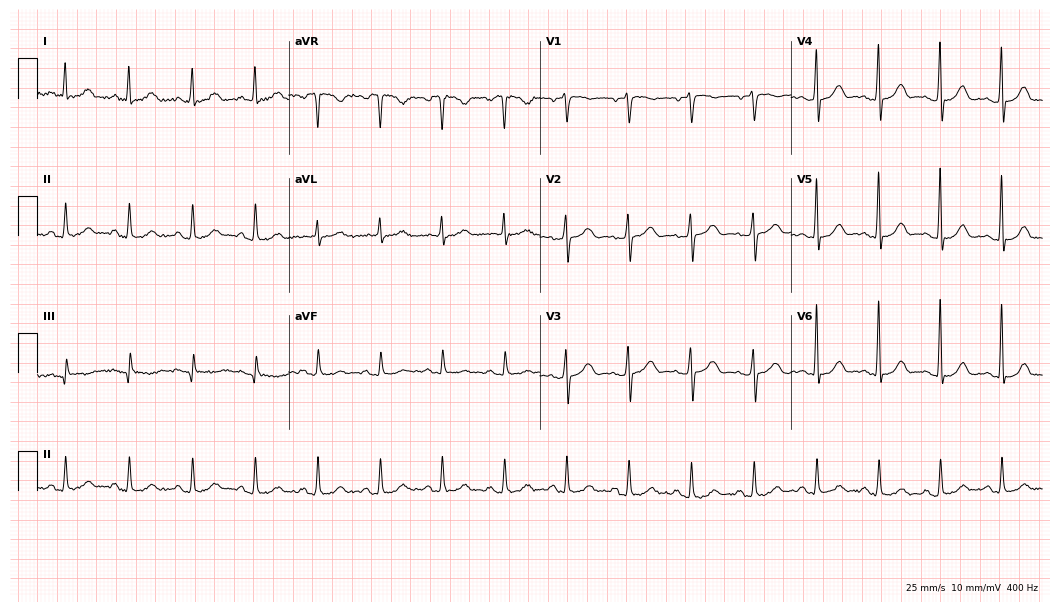
ECG (10.2-second recording at 400 Hz) — a male, 81 years old. Labelled as a normal ECG.